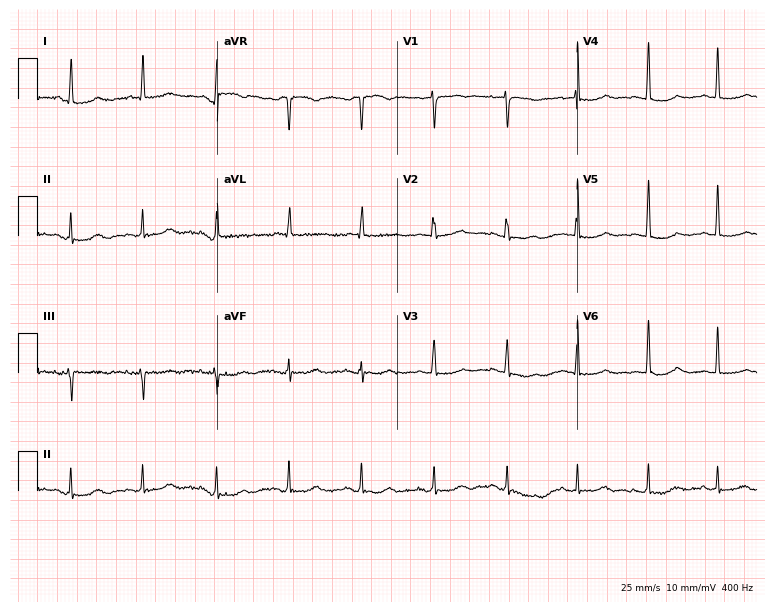
Electrocardiogram, a 71-year-old woman. Overall reading on record: normal ECG.